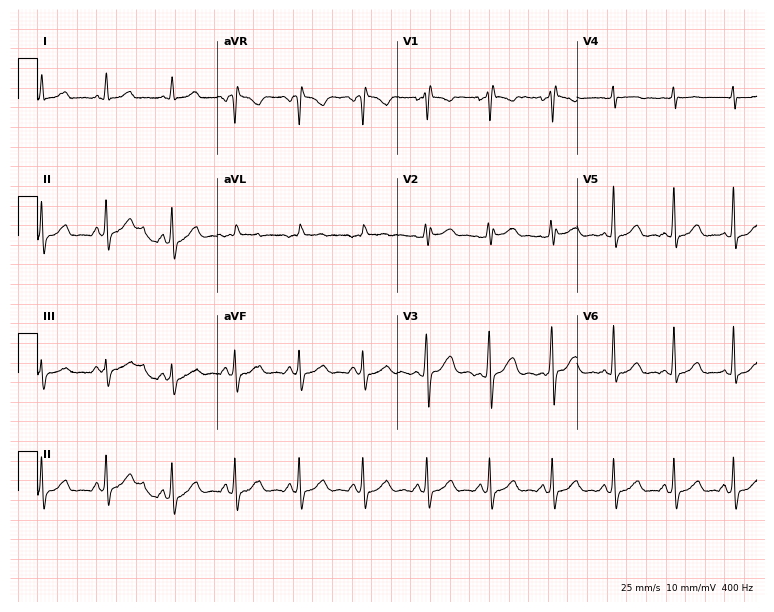
Standard 12-lead ECG recorded from a 30-year-old female patient. Read as a normal ECG.